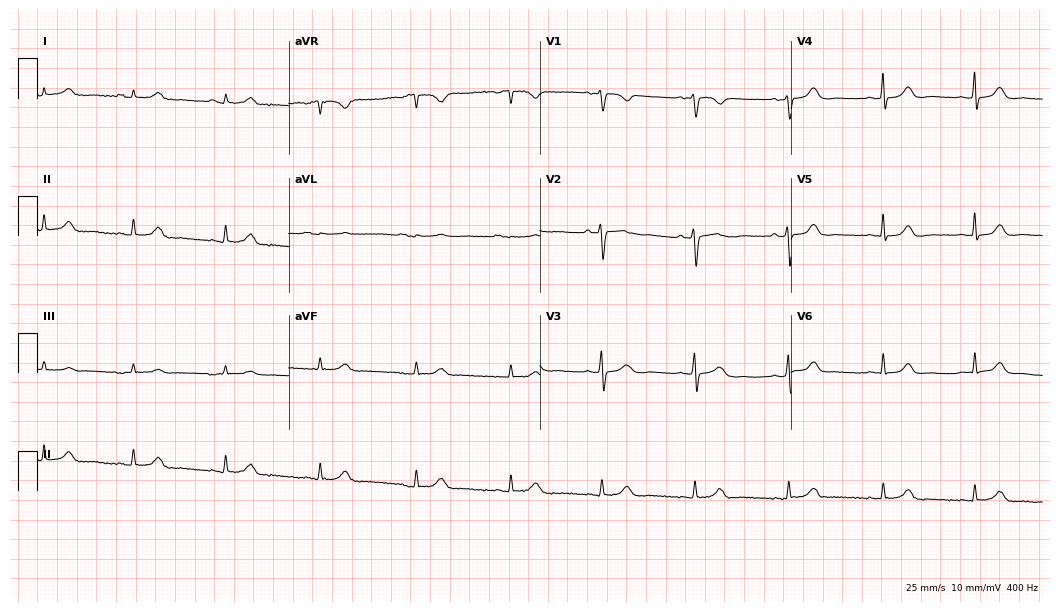
12-lead ECG from a 34-year-old female. Recorded interpretation: within normal limits.